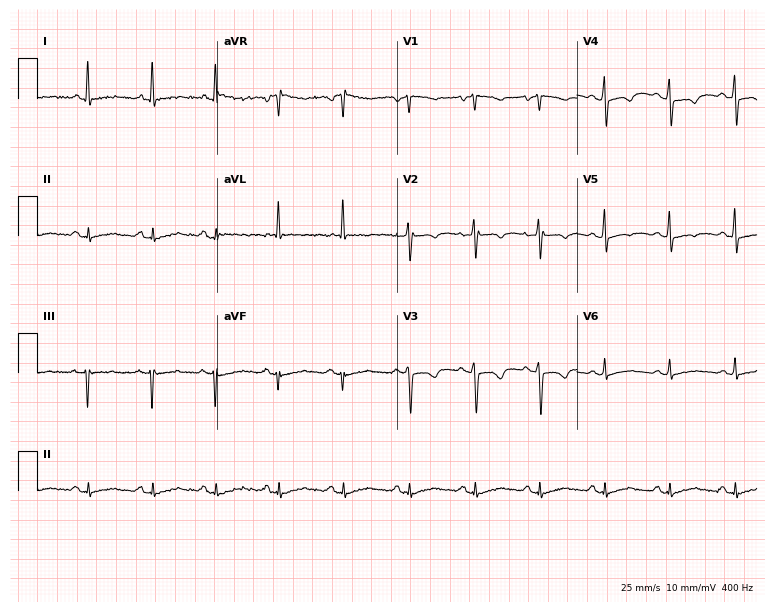
Electrocardiogram, a 68-year-old woman. Of the six screened findings (first-degree AV block, right bundle branch block, left bundle branch block, sinus bradycardia, atrial fibrillation, sinus tachycardia), none is recorded.